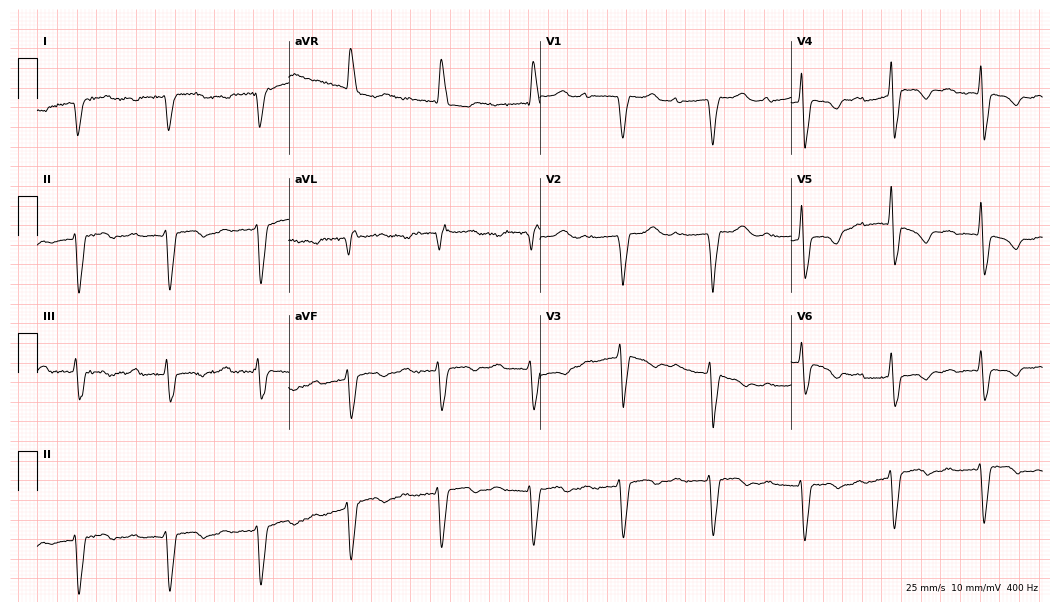
ECG (10.2-second recording at 400 Hz) — a female patient, 84 years old. Screened for six findings — first-degree AV block, right bundle branch block, left bundle branch block, sinus bradycardia, atrial fibrillation, sinus tachycardia — none is recorded.